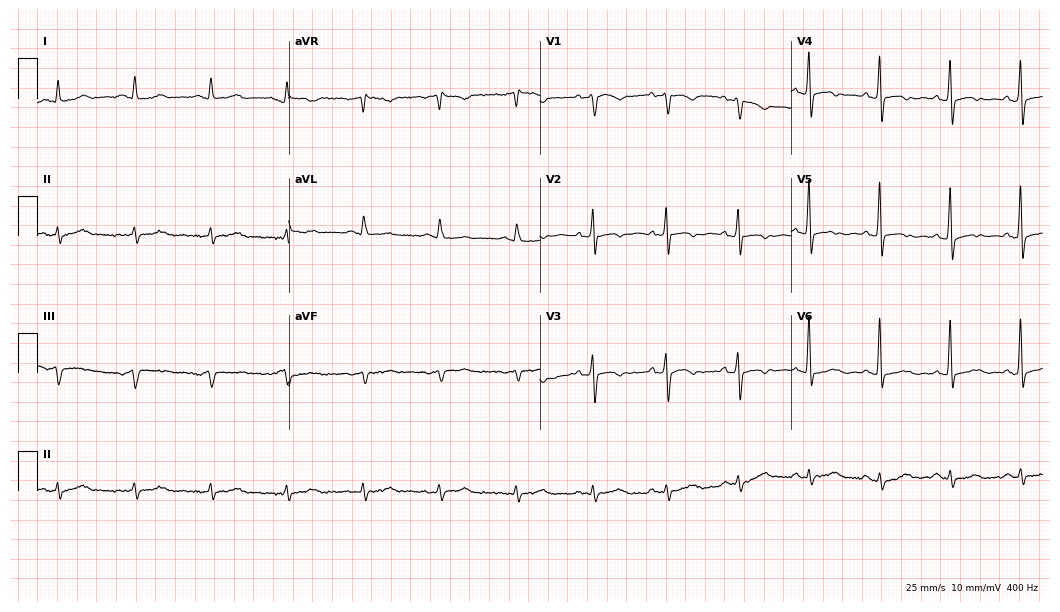
ECG (10.2-second recording at 400 Hz) — a 79-year-old male. Screened for six findings — first-degree AV block, right bundle branch block, left bundle branch block, sinus bradycardia, atrial fibrillation, sinus tachycardia — none is recorded. Only these six findings were labelled.